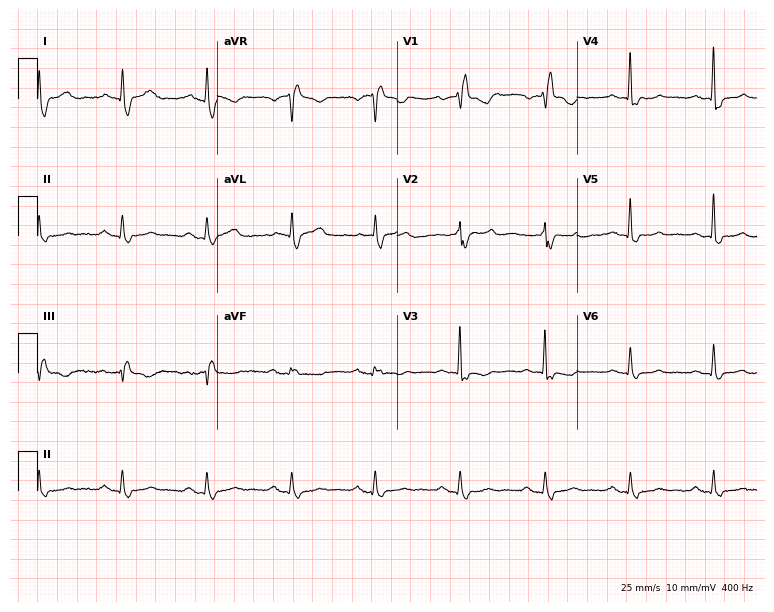
ECG (7.3-second recording at 400 Hz) — a 60-year-old female. Findings include right bundle branch block.